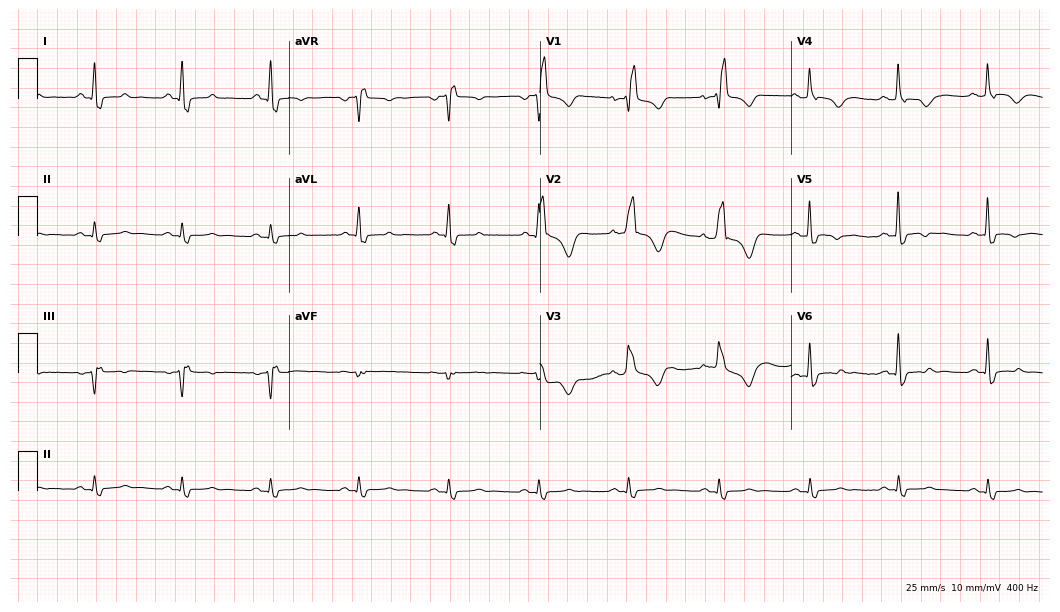
12-lead ECG from a male, 56 years old (10.2-second recording at 400 Hz). Shows right bundle branch block (RBBB).